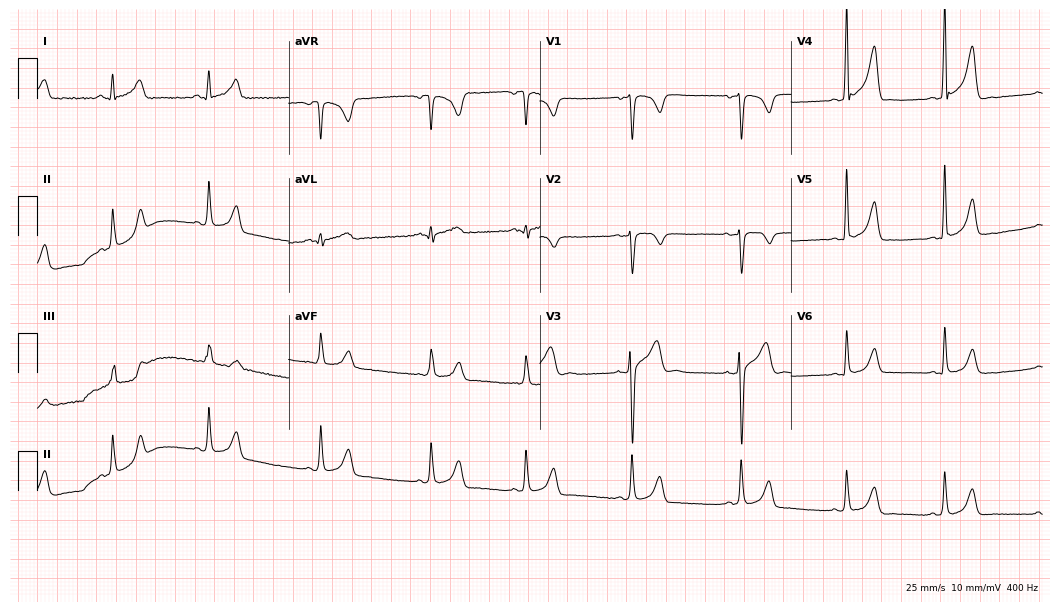
Electrocardiogram, a male patient, 22 years old. Overall reading on record: normal ECG.